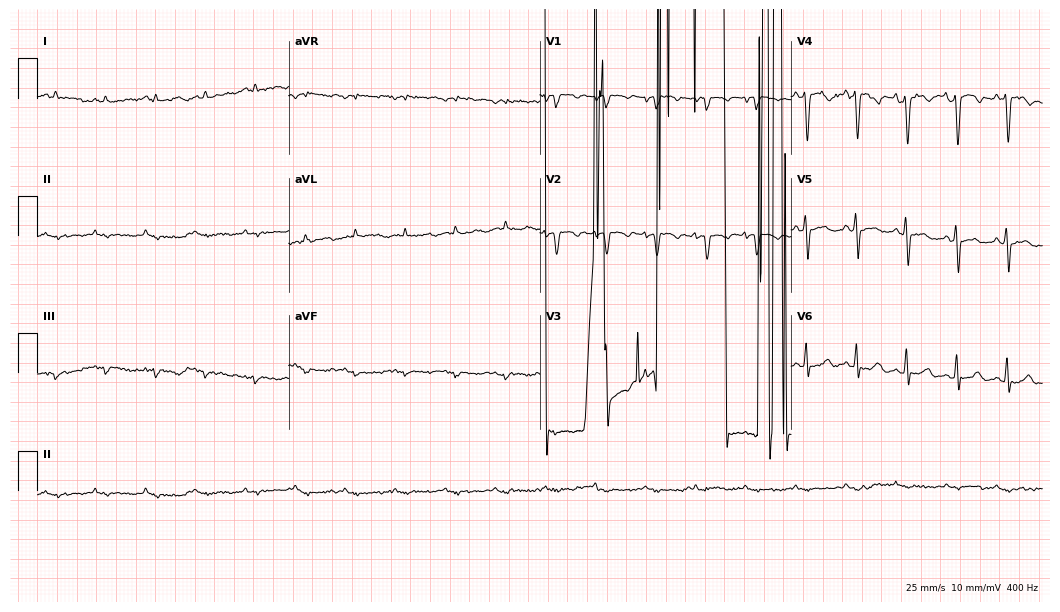
Standard 12-lead ECG recorded from a 51-year-old male. None of these six findings is recorded: first-degree AV block, right bundle branch block, left bundle branch block, sinus bradycardia, atrial fibrillation, sinus tachycardia.